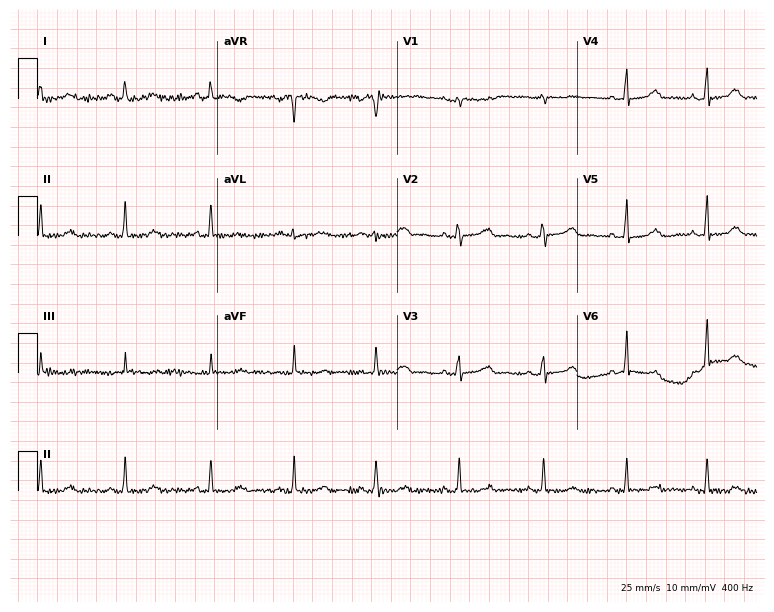
Resting 12-lead electrocardiogram (7.3-second recording at 400 Hz). Patient: a 35-year-old female. None of these six findings is recorded: first-degree AV block, right bundle branch block (RBBB), left bundle branch block (LBBB), sinus bradycardia, atrial fibrillation (AF), sinus tachycardia.